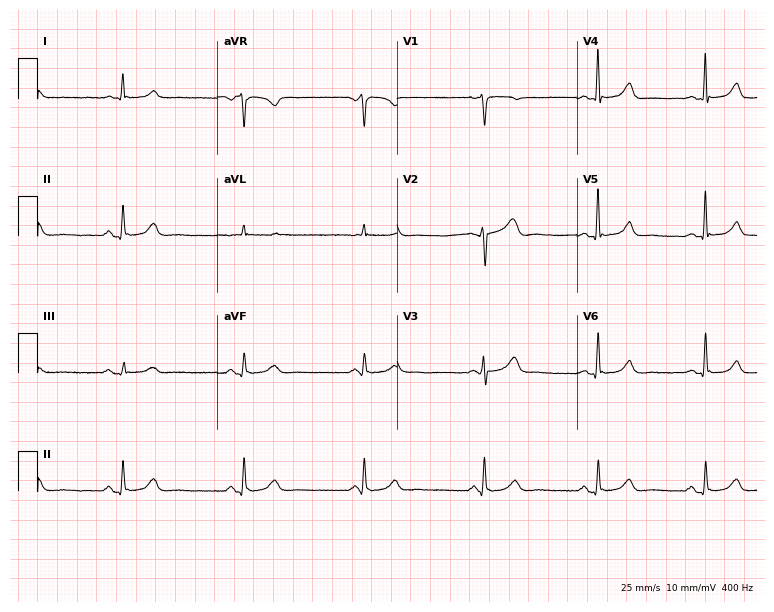
Electrocardiogram (7.3-second recording at 400 Hz), a 49-year-old woman. Overall reading on record: normal ECG.